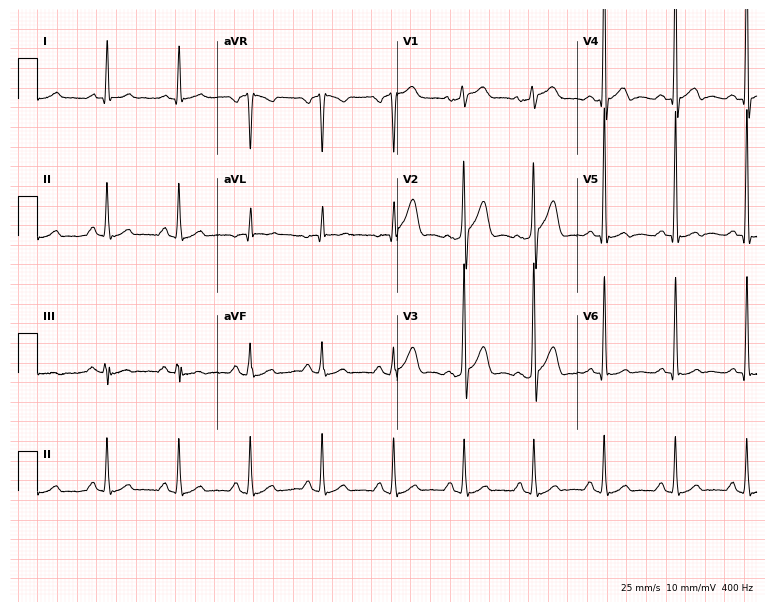
Standard 12-lead ECG recorded from a 47-year-old male patient. Read as a normal ECG.